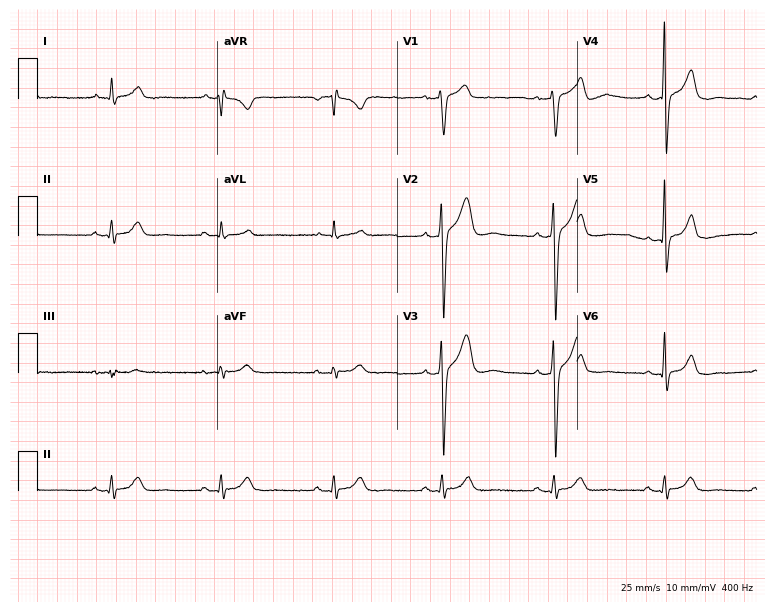
Electrocardiogram (7.3-second recording at 400 Hz), a 65-year-old male patient. Overall reading on record: normal ECG.